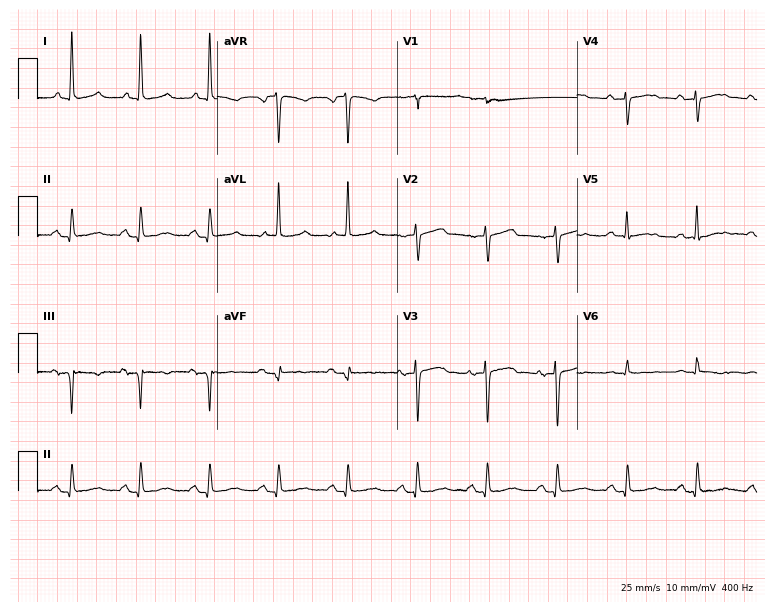
ECG — an 80-year-old female patient. Screened for six findings — first-degree AV block, right bundle branch block (RBBB), left bundle branch block (LBBB), sinus bradycardia, atrial fibrillation (AF), sinus tachycardia — none is recorded.